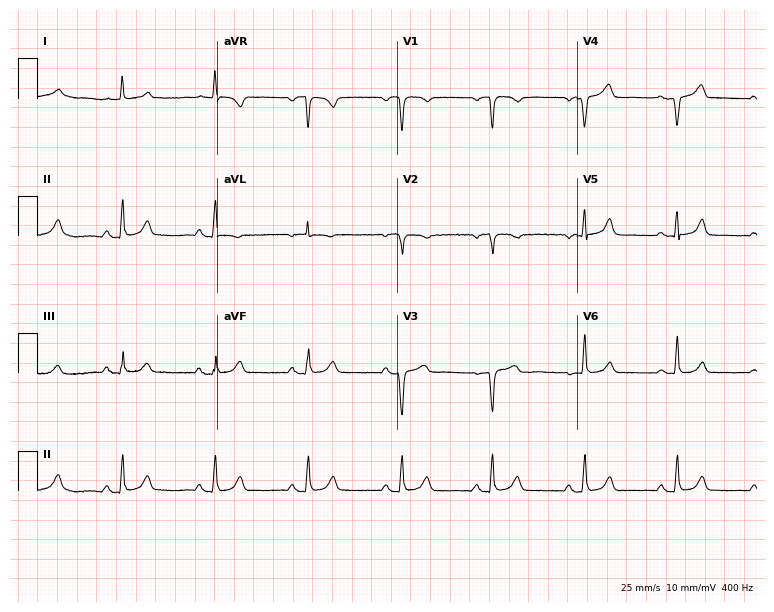
Electrocardiogram, a 53-year-old woman. Of the six screened findings (first-degree AV block, right bundle branch block, left bundle branch block, sinus bradycardia, atrial fibrillation, sinus tachycardia), none is recorded. Only these six findings were labelled.